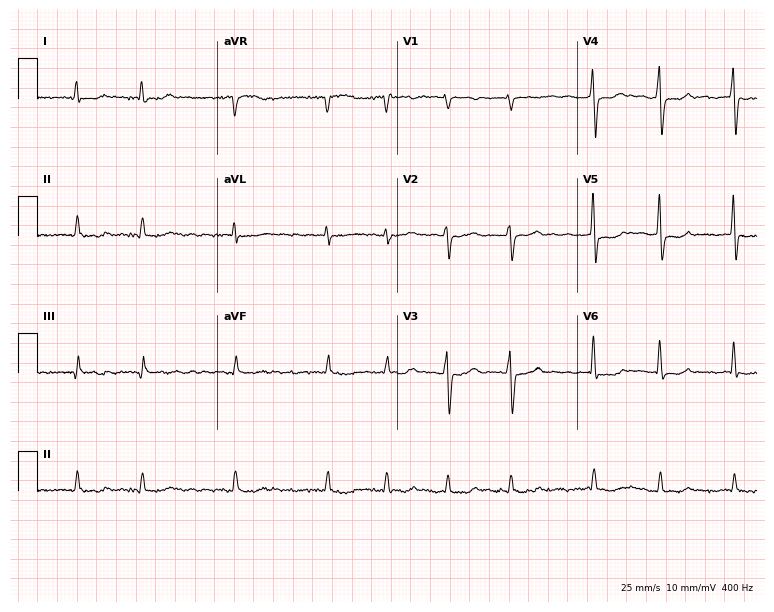
Standard 12-lead ECG recorded from a 69-year-old man. The tracing shows atrial fibrillation.